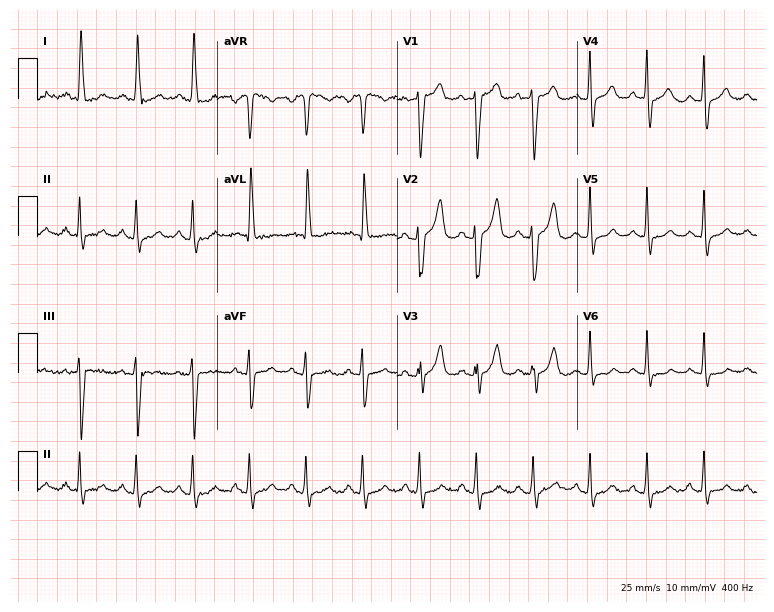
12-lead ECG from a 78-year-old female patient (7.3-second recording at 400 Hz). Shows sinus tachycardia (a sinus rate of 100 beats per minute or more).